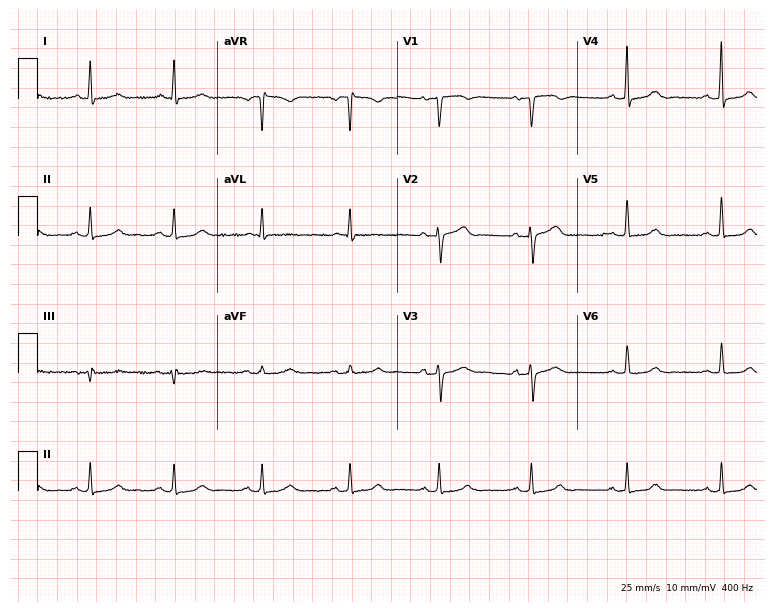
12-lead ECG from a woman, 64 years old. Labelled as a normal ECG.